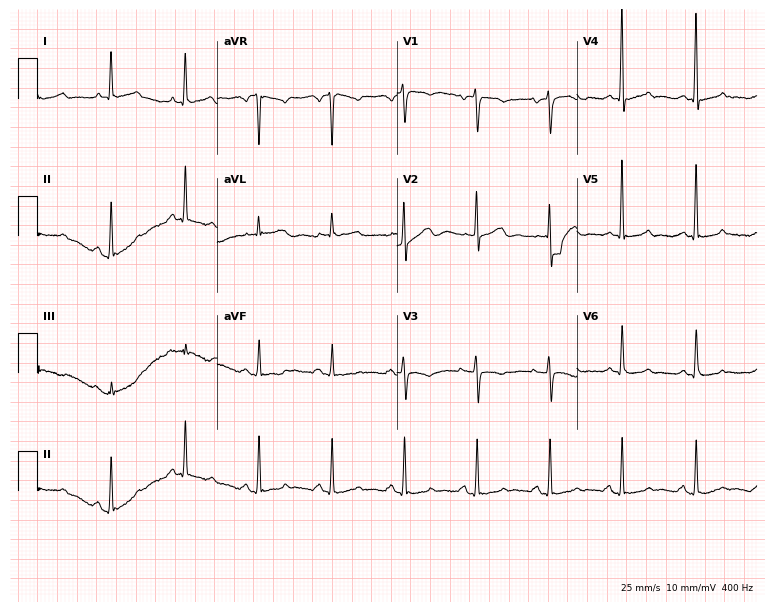
12-lead ECG from a 57-year-old female. No first-degree AV block, right bundle branch block, left bundle branch block, sinus bradycardia, atrial fibrillation or sinus tachycardia recorded for this tracing. Findings outside these six are not listed.